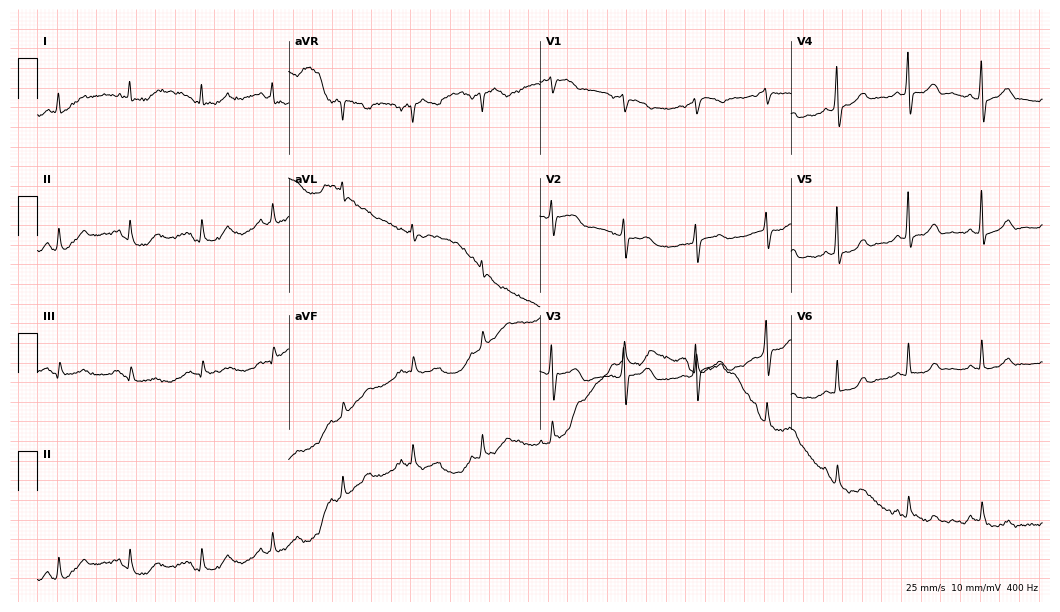
12-lead ECG from a male, 68 years old (10.2-second recording at 400 Hz). Recorded interpretation: within normal limits.